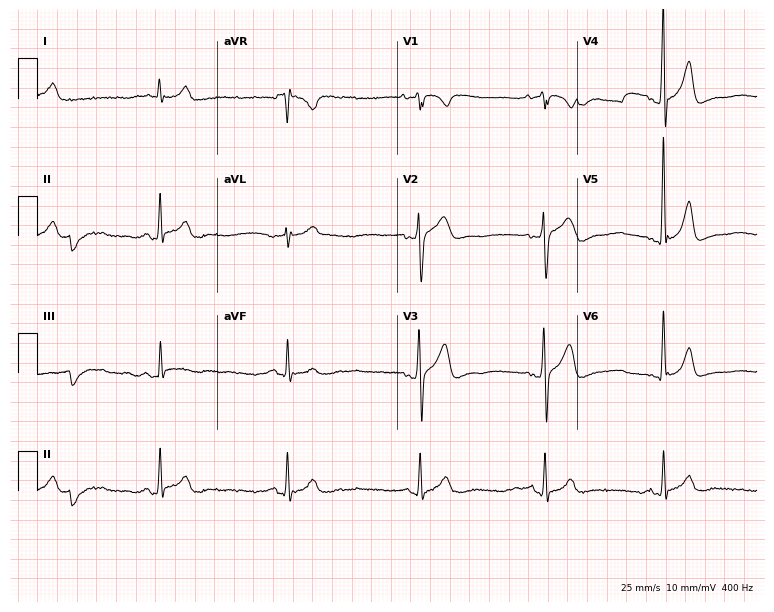
12-lead ECG (7.3-second recording at 400 Hz) from a male patient, 57 years old. Findings include sinus bradycardia (a sinus rate of 50 beats per minute or less).